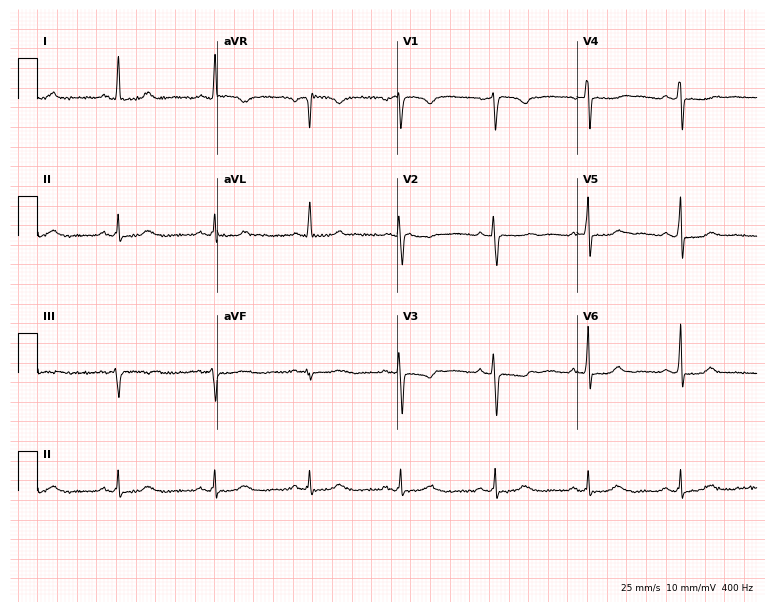
12-lead ECG from a female patient, 69 years old (7.3-second recording at 400 Hz). No first-degree AV block, right bundle branch block, left bundle branch block, sinus bradycardia, atrial fibrillation or sinus tachycardia recorded for this tracing.